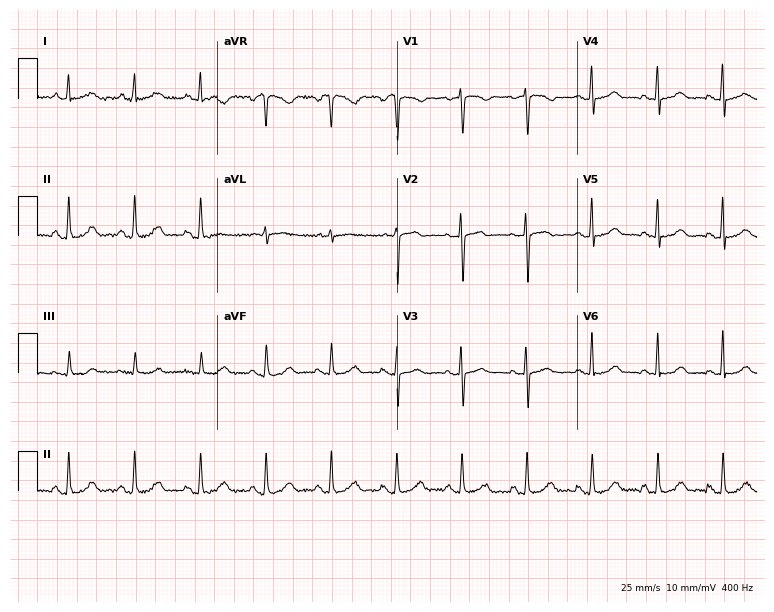
Electrocardiogram (7.3-second recording at 400 Hz), a 62-year-old female. Overall reading on record: normal ECG.